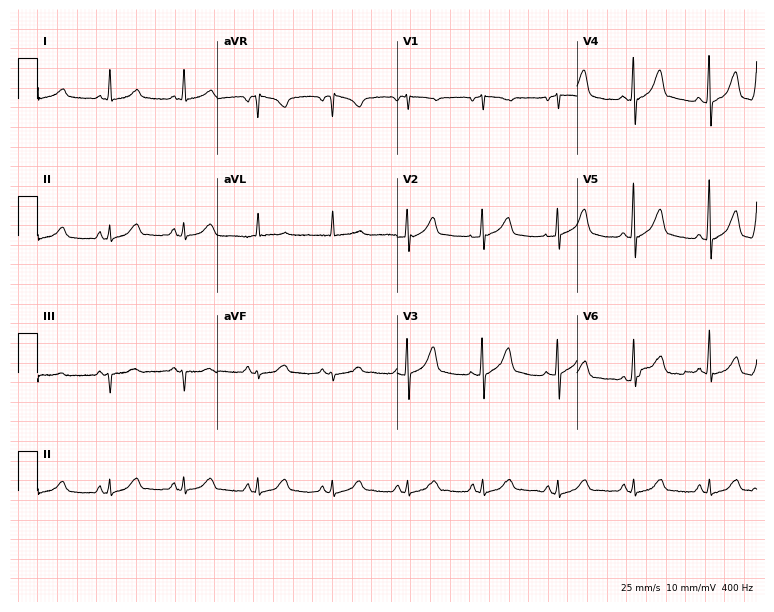
ECG — a 75-year-old woman. Screened for six findings — first-degree AV block, right bundle branch block, left bundle branch block, sinus bradycardia, atrial fibrillation, sinus tachycardia — none is recorded.